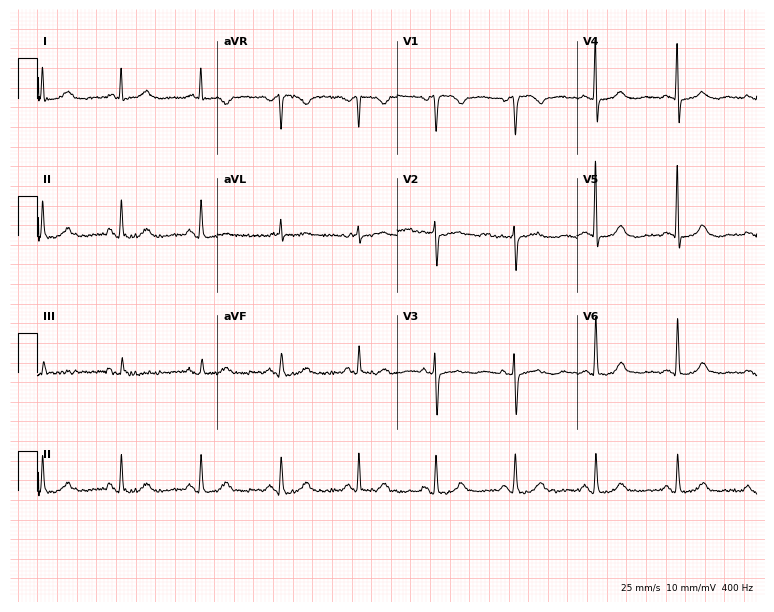
Standard 12-lead ECG recorded from a woman, 83 years old (7.3-second recording at 400 Hz). None of these six findings is recorded: first-degree AV block, right bundle branch block (RBBB), left bundle branch block (LBBB), sinus bradycardia, atrial fibrillation (AF), sinus tachycardia.